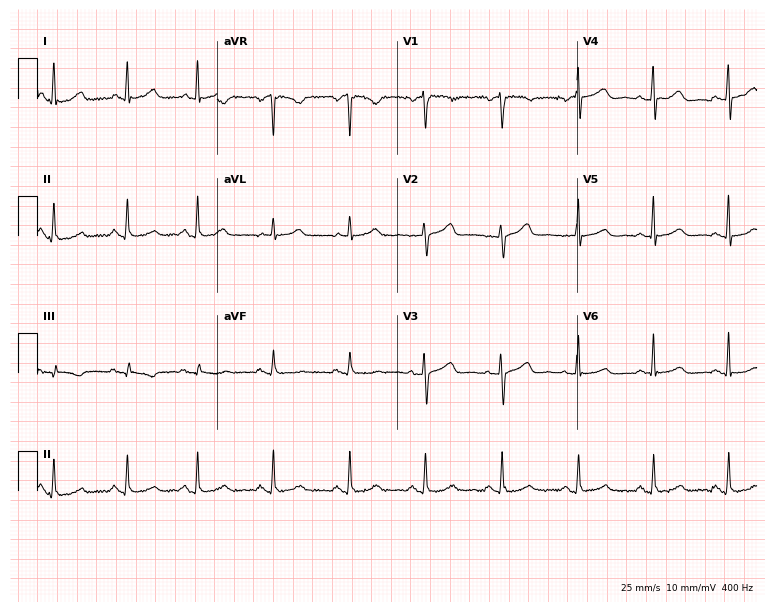
Electrocardiogram, a woman, 56 years old. Overall reading on record: normal ECG.